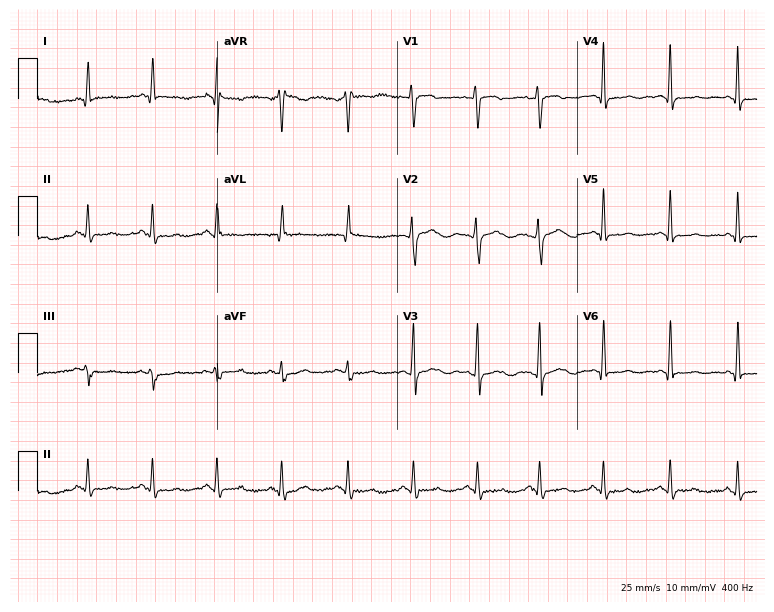
12-lead ECG from a 36-year-old female patient (7.3-second recording at 400 Hz). No first-degree AV block, right bundle branch block, left bundle branch block, sinus bradycardia, atrial fibrillation or sinus tachycardia recorded for this tracing.